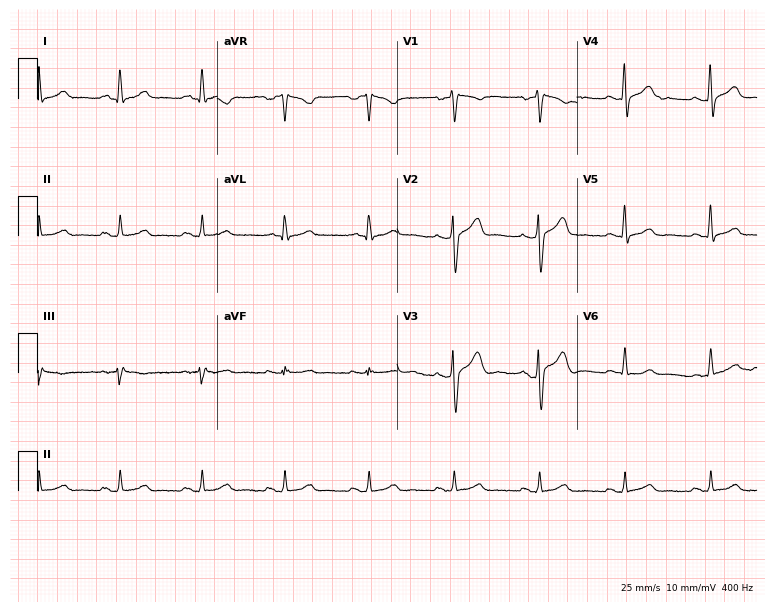
ECG — a 47-year-old male. Screened for six findings — first-degree AV block, right bundle branch block (RBBB), left bundle branch block (LBBB), sinus bradycardia, atrial fibrillation (AF), sinus tachycardia — none is recorded.